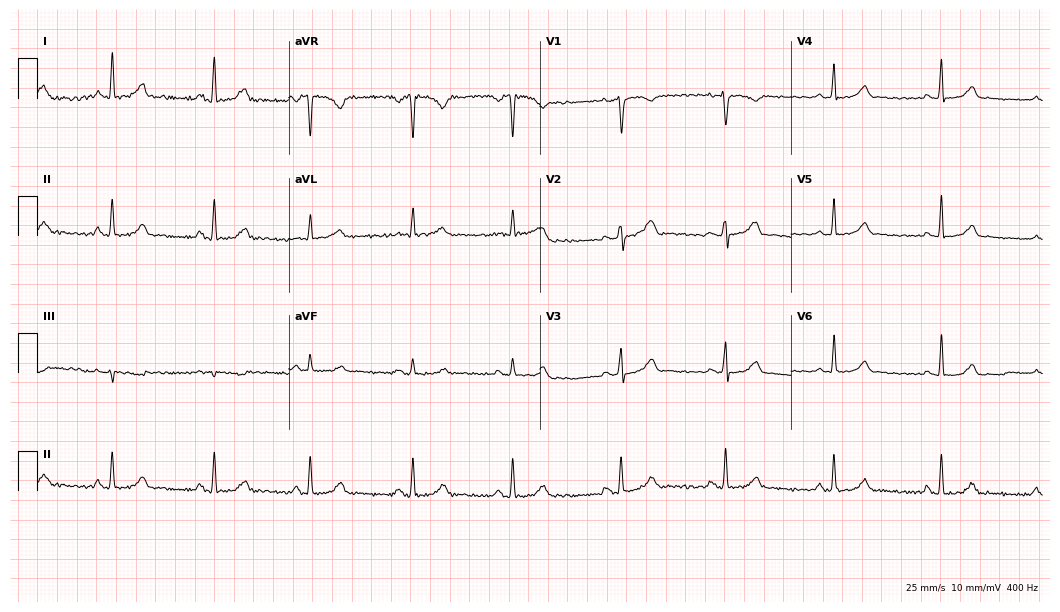
Standard 12-lead ECG recorded from a woman, 37 years old. Read as a normal ECG.